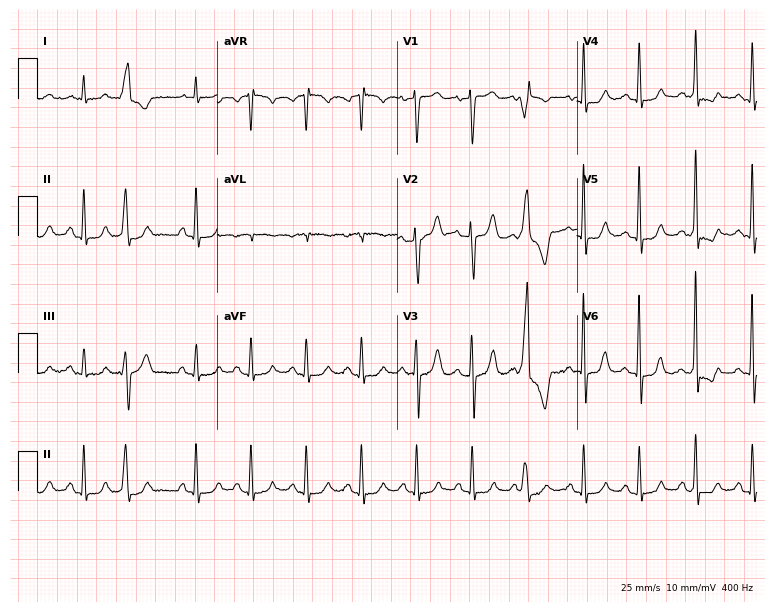
Resting 12-lead electrocardiogram (7.3-second recording at 400 Hz). Patient: a male, 76 years old. None of these six findings is recorded: first-degree AV block, right bundle branch block, left bundle branch block, sinus bradycardia, atrial fibrillation, sinus tachycardia. Other findings, if any, are not listed.